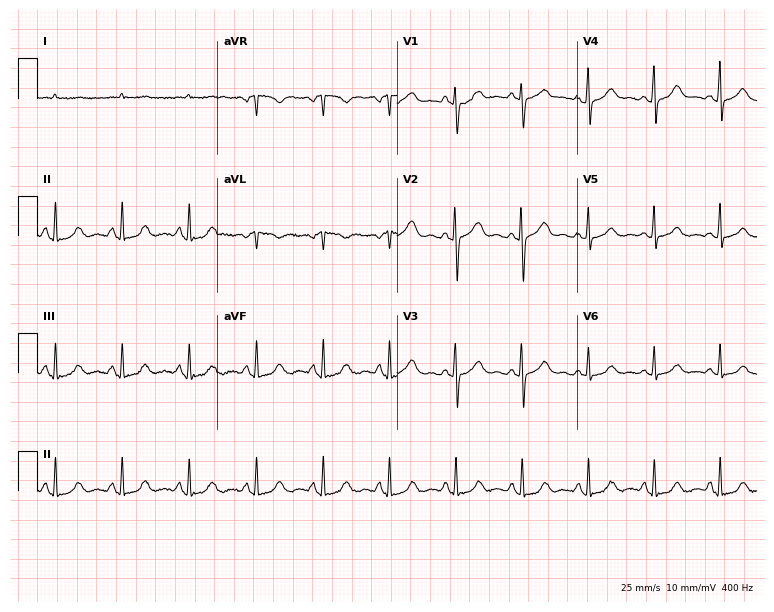
12-lead ECG from a 68-year-old woman. Recorded interpretation: within normal limits.